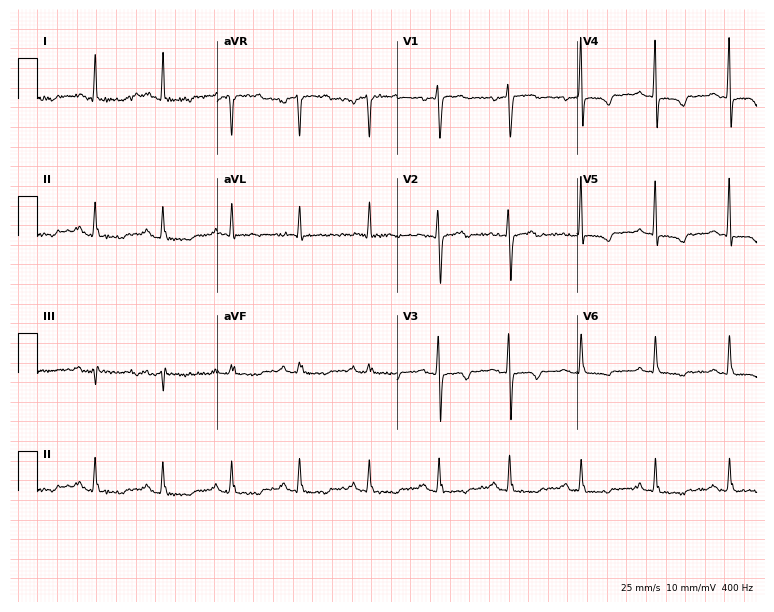
Resting 12-lead electrocardiogram (7.3-second recording at 400 Hz). Patient: a female, 66 years old. Read as a normal ECG.